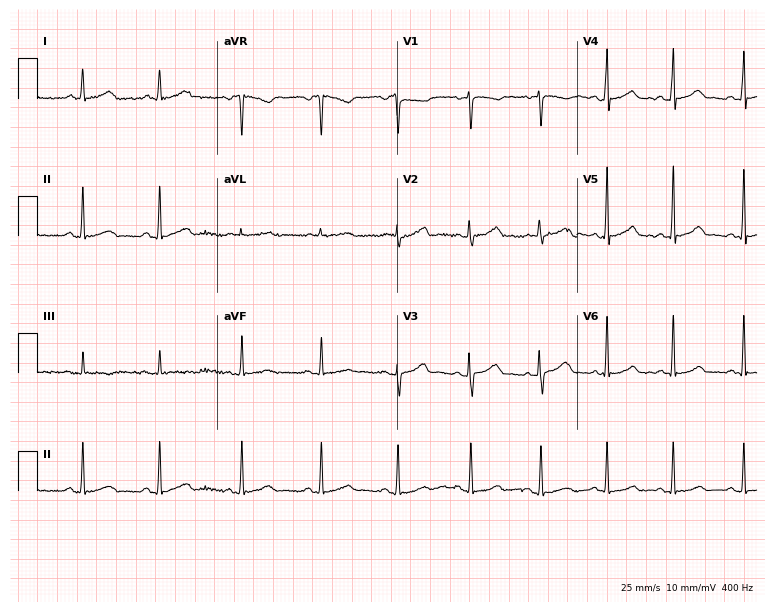
12-lead ECG (7.3-second recording at 400 Hz) from a 34-year-old female patient. Screened for six findings — first-degree AV block, right bundle branch block, left bundle branch block, sinus bradycardia, atrial fibrillation, sinus tachycardia — none is recorded.